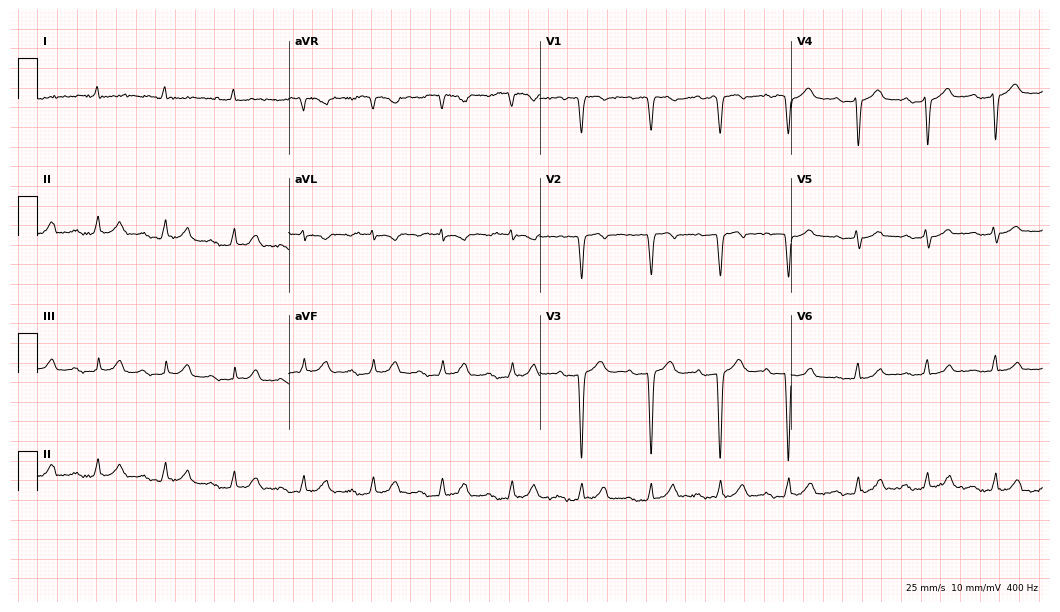
Resting 12-lead electrocardiogram. Patient: an 83-year-old male. The tracing shows first-degree AV block.